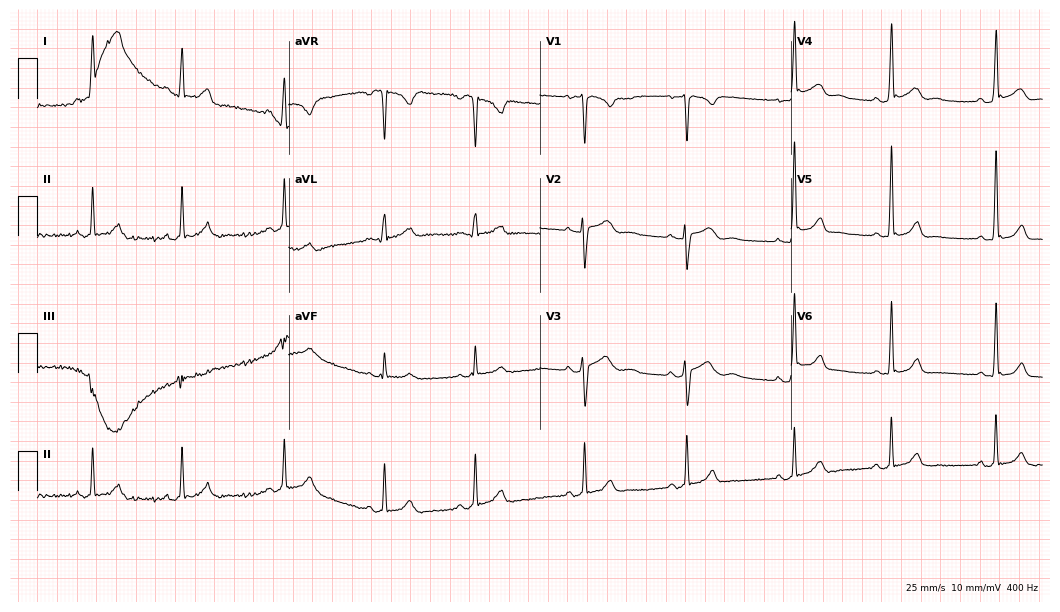
ECG (10.2-second recording at 400 Hz) — a female, 19 years old. Screened for six findings — first-degree AV block, right bundle branch block (RBBB), left bundle branch block (LBBB), sinus bradycardia, atrial fibrillation (AF), sinus tachycardia — none is recorded.